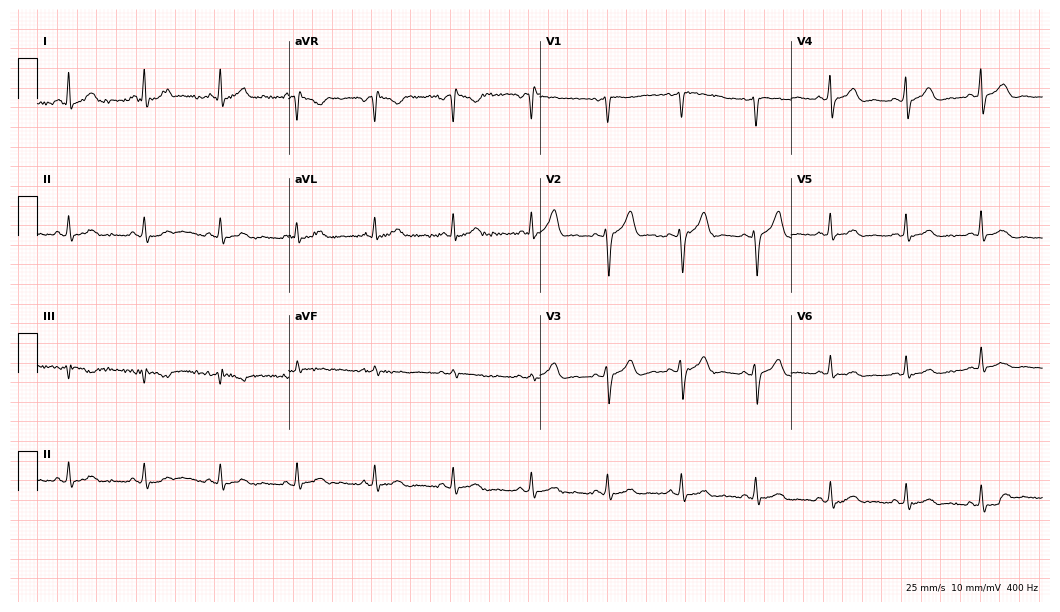
Standard 12-lead ECG recorded from a 51-year-old male. None of these six findings is recorded: first-degree AV block, right bundle branch block (RBBB), left bundle branch block (LBBB), sinus bradycardia, atrial fibrillation (AF), sinus tachycardia.